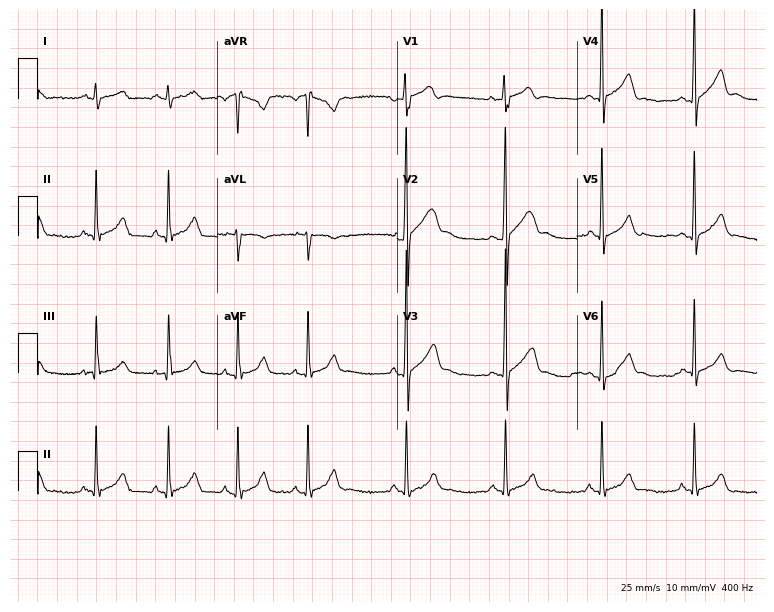
12-lead ECG (7.3-second recording at 400 Hz) from a 19-year-old male. Labelled as a normal ECG.